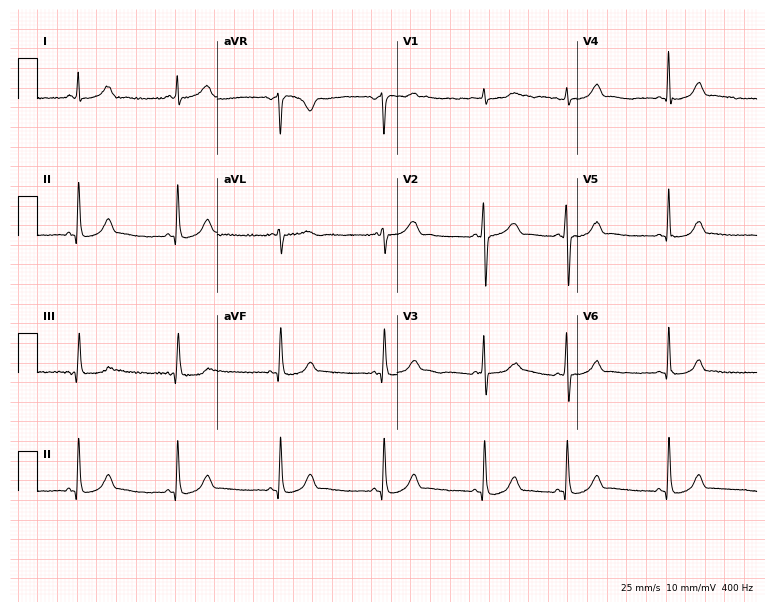
Electrocardiogram, a 27-year-old woman. Overall reading on record: normal ECG.